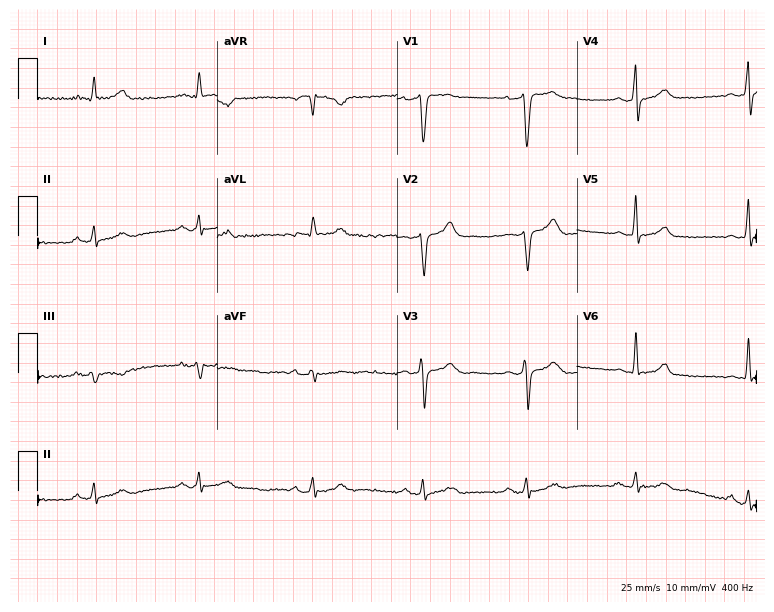
Electrocardiogram, a 35-year-old male patient. Of the six screened findings (first-degree AV block, right bundle branch block, left bundle branch block, sinus bradycardia, atrial fibrillation, sinus tachycardia), none is recorded. Only these six findings were labelled.